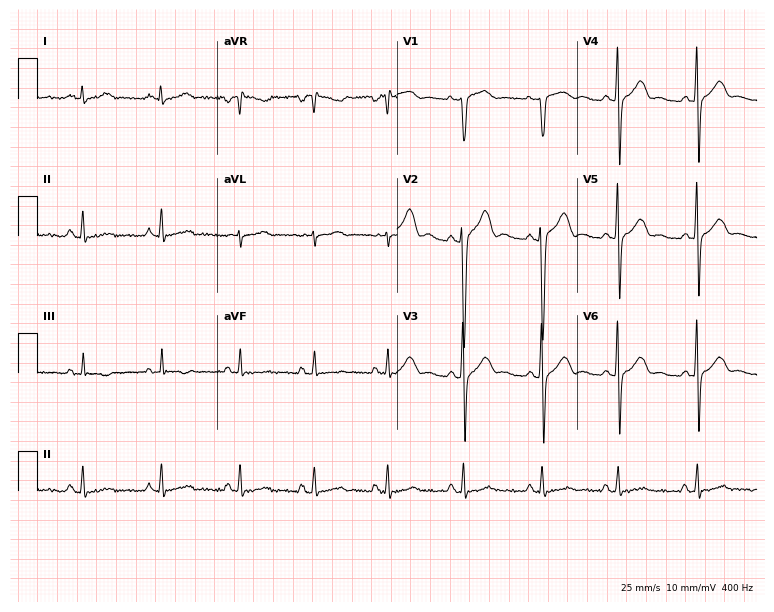
12-lead ECG from a male, 25 years old (7.3-second recording at 400 Hz). Recorded interpretation: within normal limits.